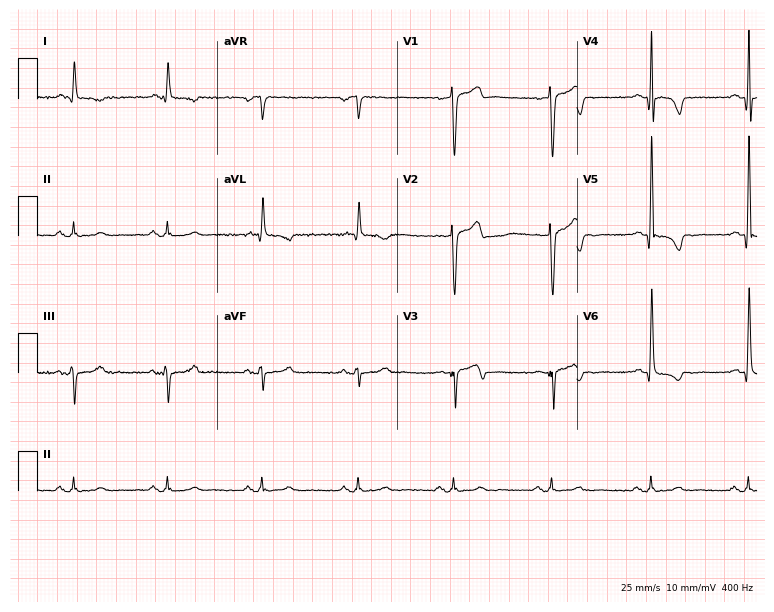
12-lead ECG from a man, 84 years old. Screened for six findings — first-degree AV block, right bundle branch block, left bundle branch block, sinus bradycardia, atrial fibrillation, sinus tachycardia — none is recorded. Findings outside these six are not listed.